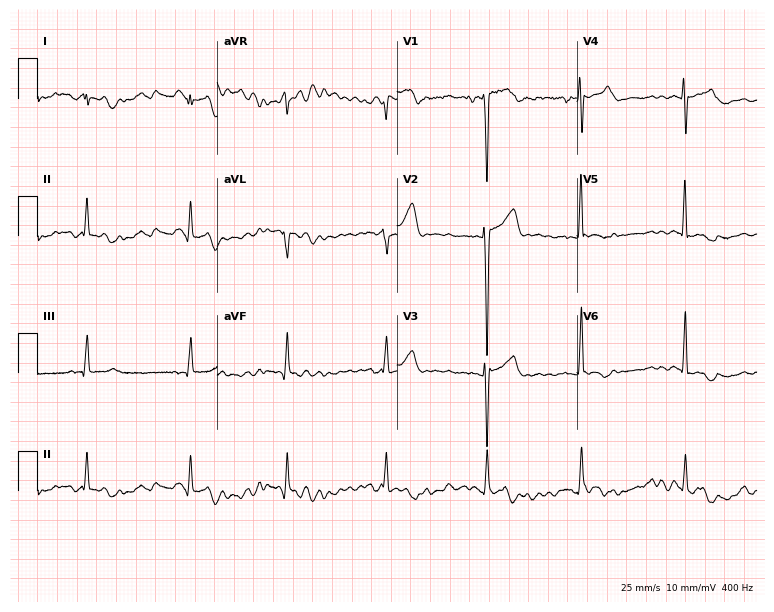
12-lead ECG from a 35-year-old woman. No first-degree AV block, right bundle branch block (RBBB), left bundle branch block (LBBB), sinus bradycardia, atrial fibrillation (AF) or sinus tachycardia recorded for this tracing.